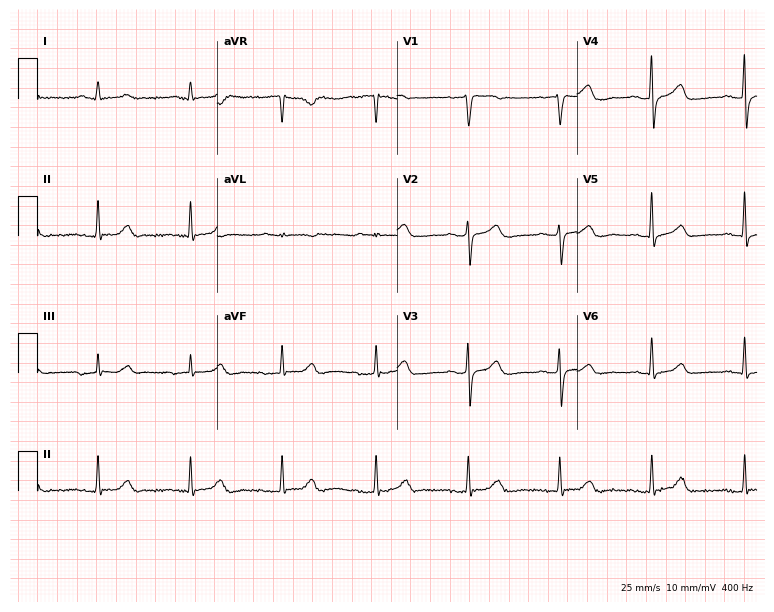
Electrocardiogram (7.3-second recording at 400 Hz), a man, 65 years old. Overall reading on record: normal ECG.